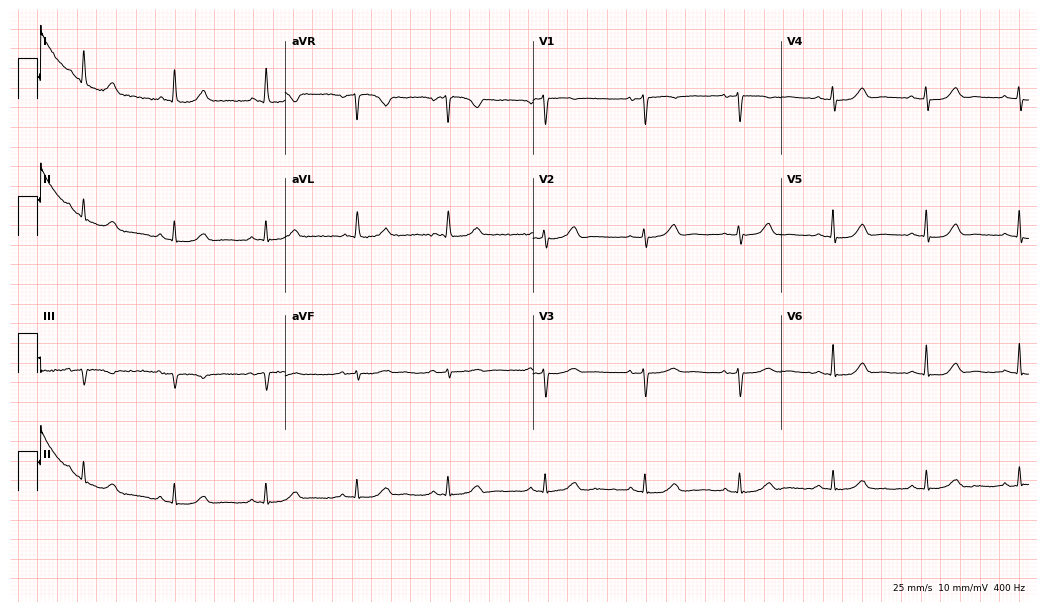
12-lead ECG from a female, 65 years old. No first-degree AV block, right bundle branch block, left bundle branch block, sinus bradycardia, atrial fibrillation or sinus tachycardia recorded for this tracing. Only these six findings were labelled.